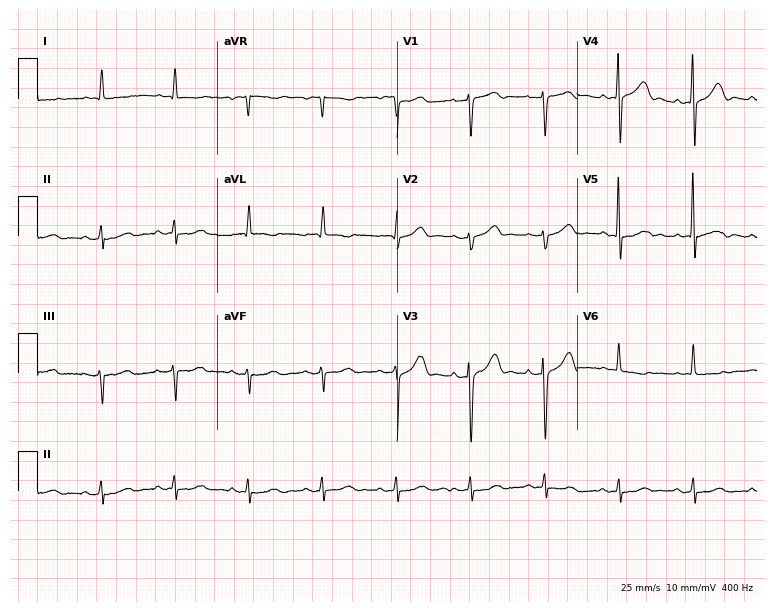
12-lead ECG from a female, 81 years old. Labelled as a normal ECG.